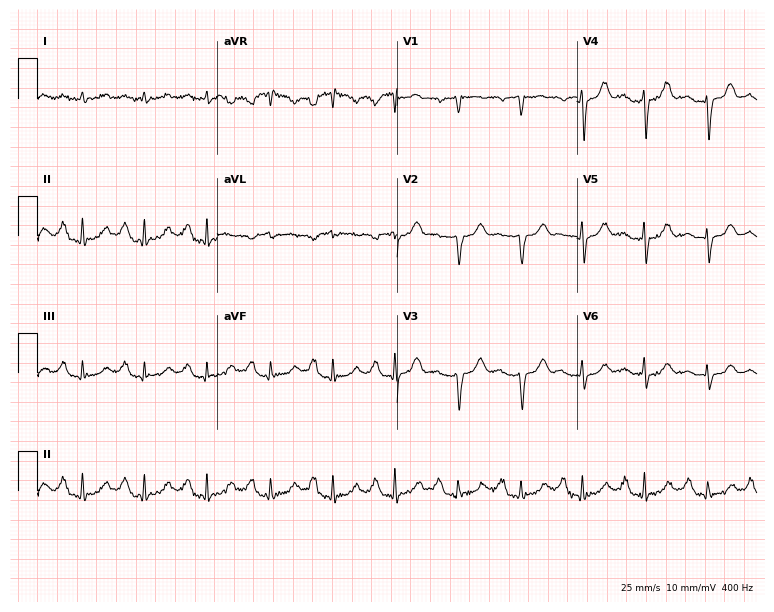
Resting 12-lead electrocardiogram. Patient: a 78-year-old male. None of these six findings is recorded: first-degree AV block, right bundle branch block, left bundle branch block, sinus bradycardia, atrial fibrillation, sinus tachycardia.